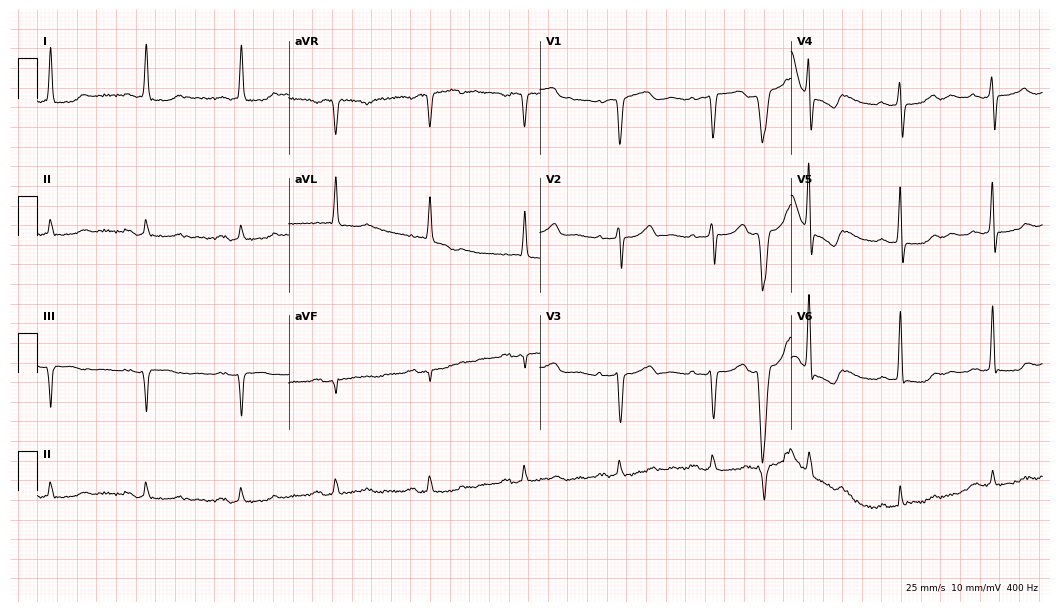
12-lead ECG from a 71-year-old female patient (10.2-second recording at 400 Hz). Recorded interpretation: within normal limits.